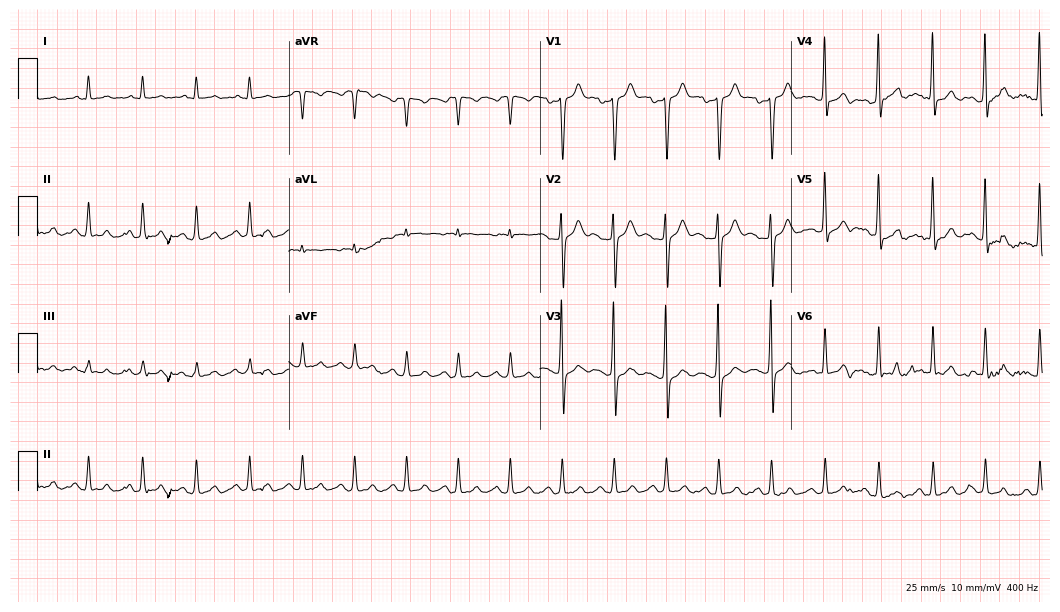
Resting 12-lead electrocardiogram. Patient: a man, 49 years old. The tracing shows sinus tachycardia (a sinus rate of 100 beats per minute or more).